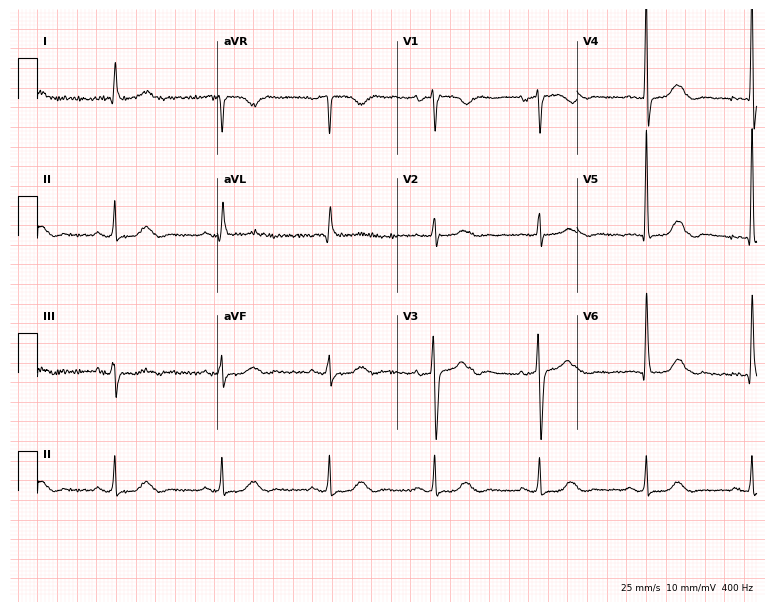
Standard 12-lead ECG recorded from an 83-year-old man. Read as a normal ECG.